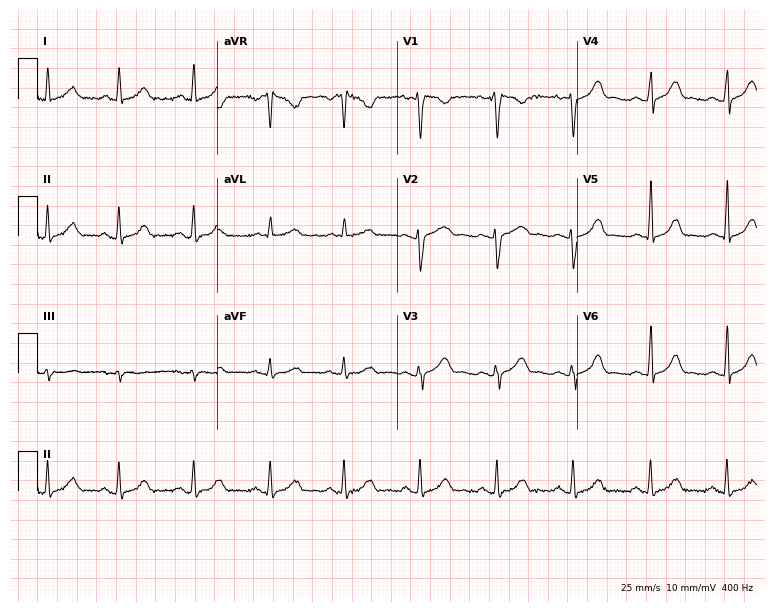
Electrocardiogram, a woman, 37 years old. Overall reading on record: normal ECG.